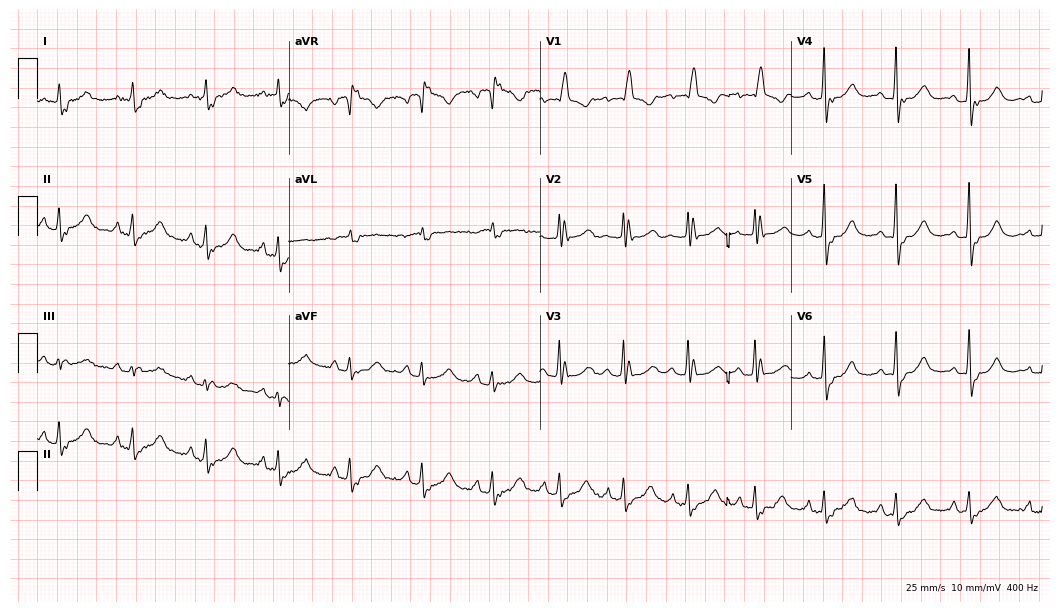
12-lead ECG from a woman, 82 years old (10.2-second recording at 400 Hz). Shows right bundle branch block.